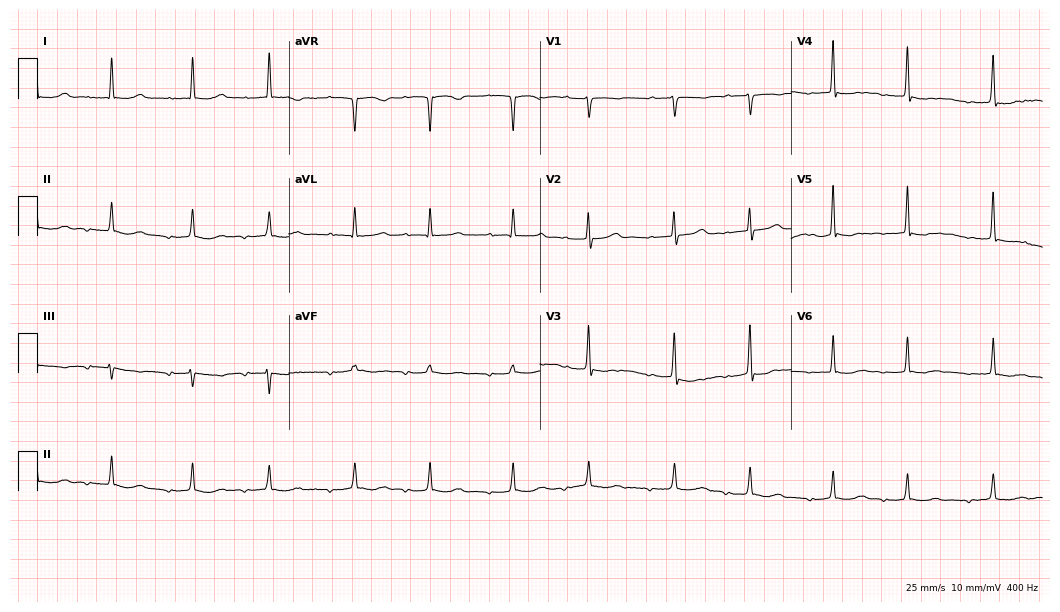
Standard 12-lead ECG recorded from a 65-year-old female patient. None of these six findings is recorded: first-degree AV block, right bundle branch block (RBBB), left bundle branch block (LBBB), sinus bradycardia, atrial fibrillation (AF), sinus tachycardia. Other findings, if any, are not listed.